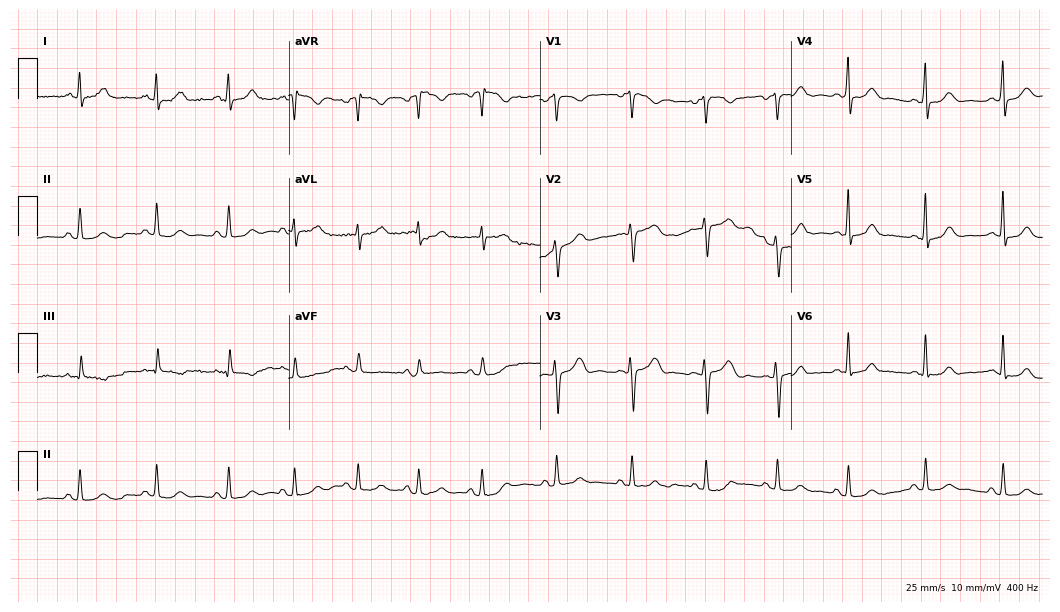
ECG — a 35-year-old female. Screened for six findings — first-degree AV block, right bundle branch block (RBBB), left bundle branch block (LBBB), sinus bradycardia, atrial fibrillation (AF), sinus tachycardia — none is recorded.